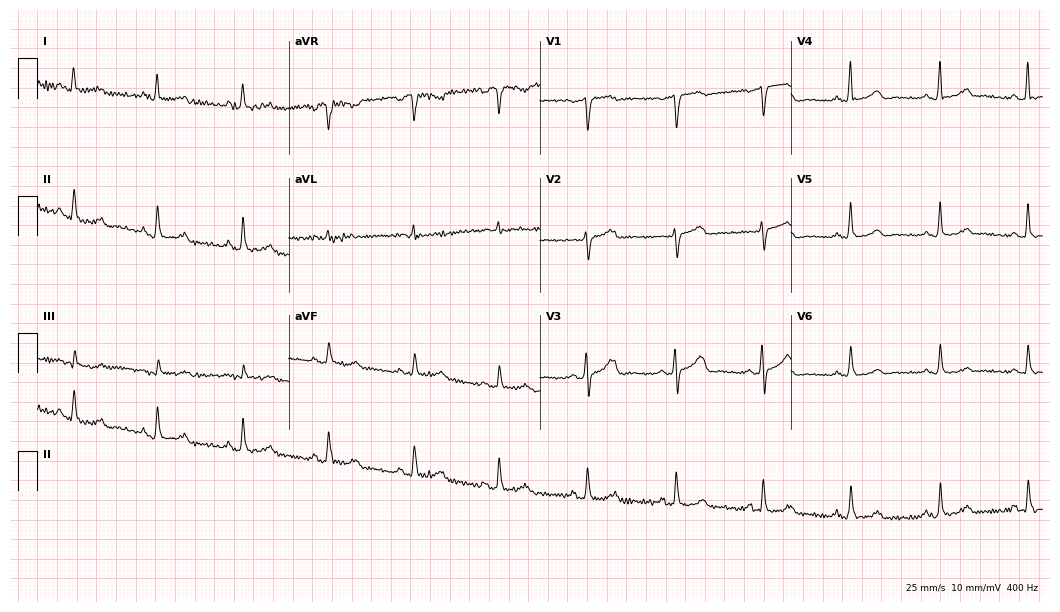
12-lead ECG from a female patient, 62 years old. Recorded interpretation: within normal limits.